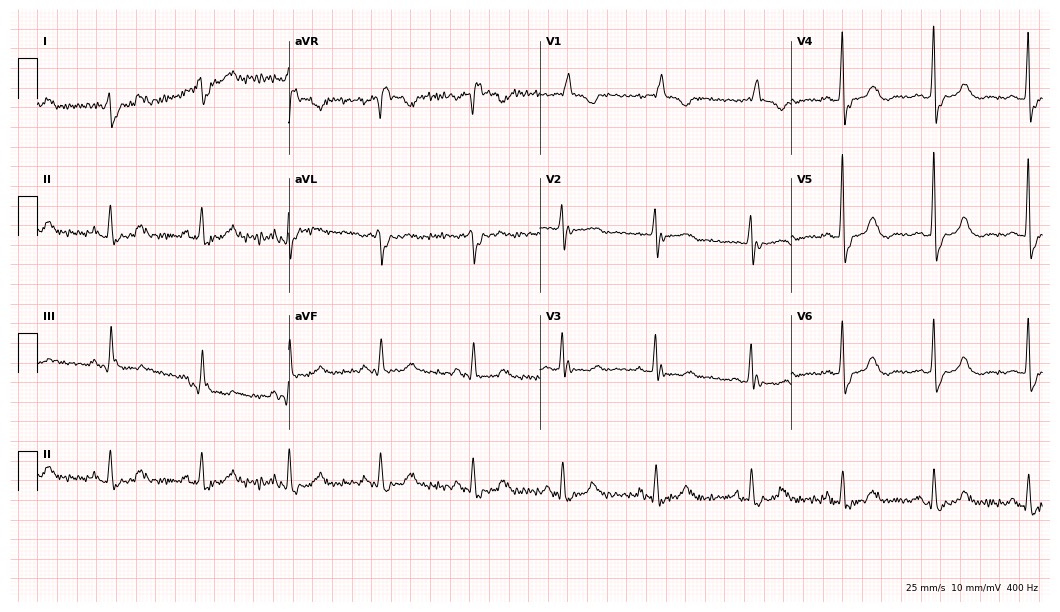
Standard 12-lead ECG recorded from an 80-year-old female patient. The tracing shows right bundle branch block (RBBB).